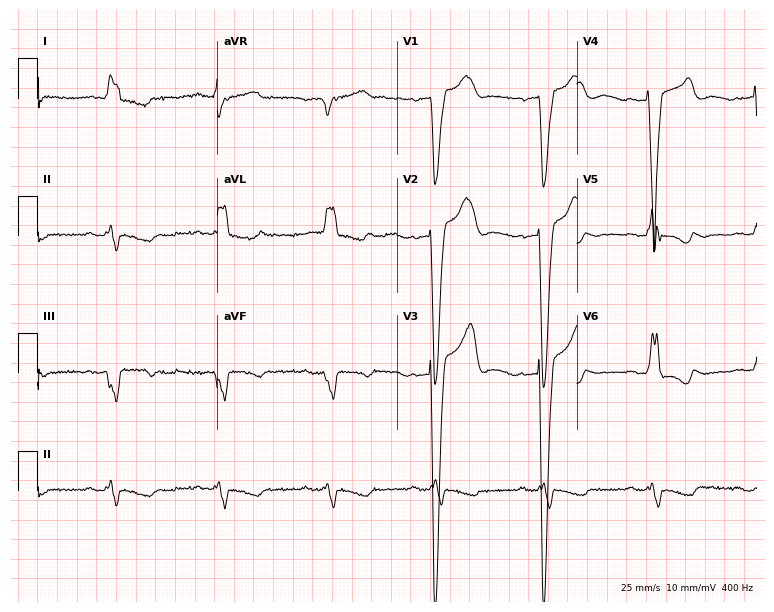
Standard 12-lead ECG recorded from an 86-year-old man (7.3-second recording at 400 Hz). The tracing shows left bundle branch block (LBBB).